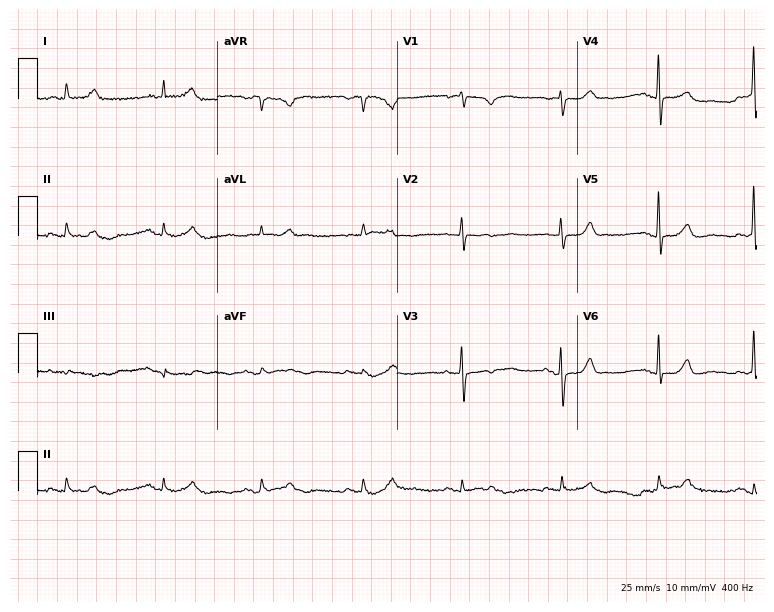
ECG — a 78-year-old woman. Labelled as a normal ECG.